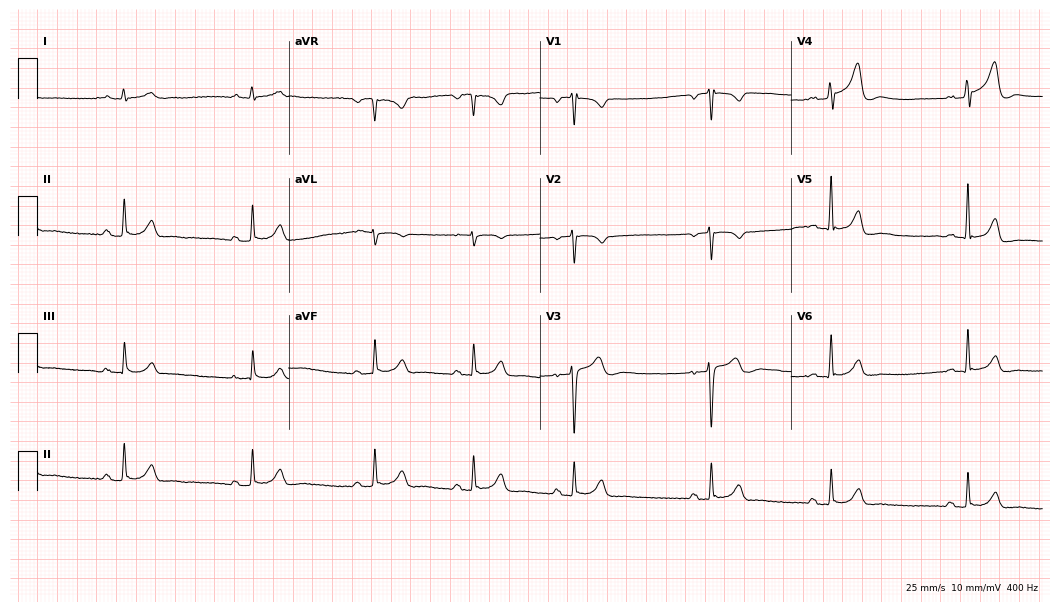
12-lead ECG from a 25-year-old man. Screened for six findings — first-degree AV block, right bundle branch block (RBBB), left bundle branch block (LBBB), sinus bradycardia, atrial fibrillation (AF), sinus tachycardia — none is recorded. Other findings, if any, are not listed.